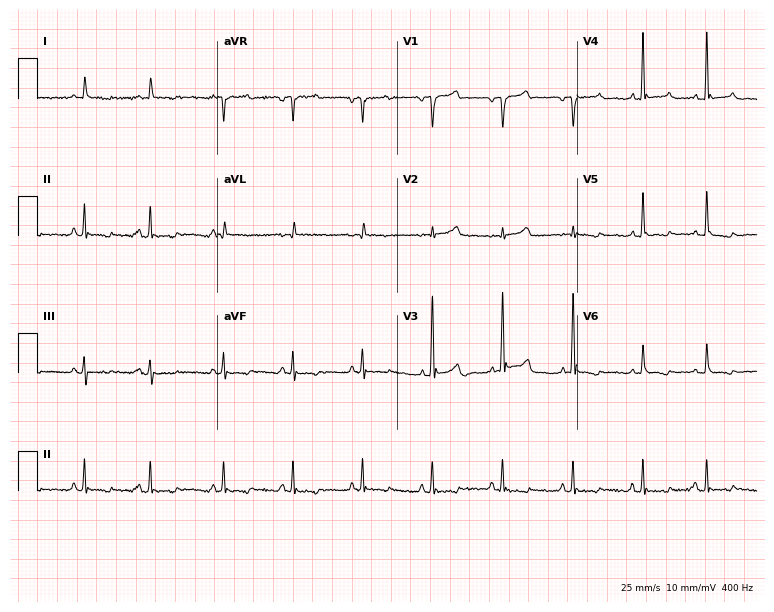
12-lead ECG from a male, 79 years old. Screened for six findings — first-degree AV block, right bundle branch block (RBBB), left bundle branch block (LBBB), sinus bradycardia, atrial fibrillation (AF), sinus tachycardia — none is recorded. Other findings, if any, are not listed.